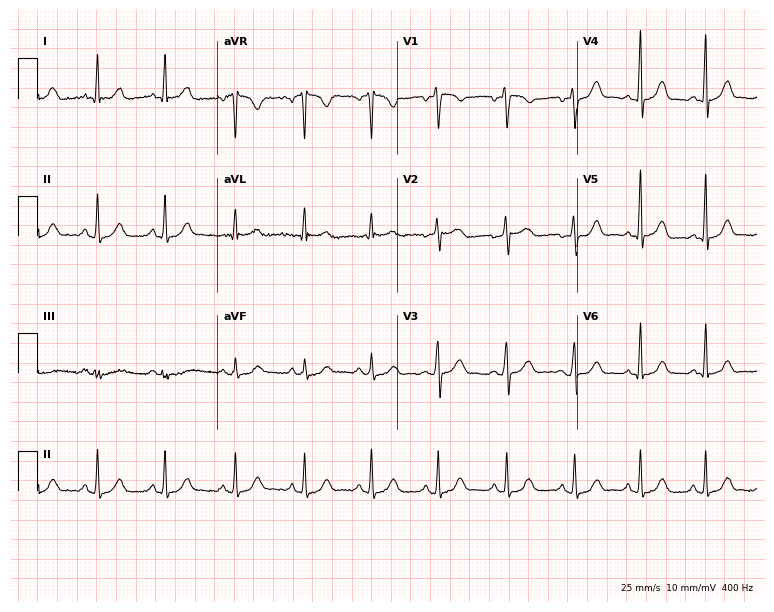
Standard 12-lead ECG recorded from a female, 40 years old (7.3-second recording at 400 Hz). Read as a normal ECG.